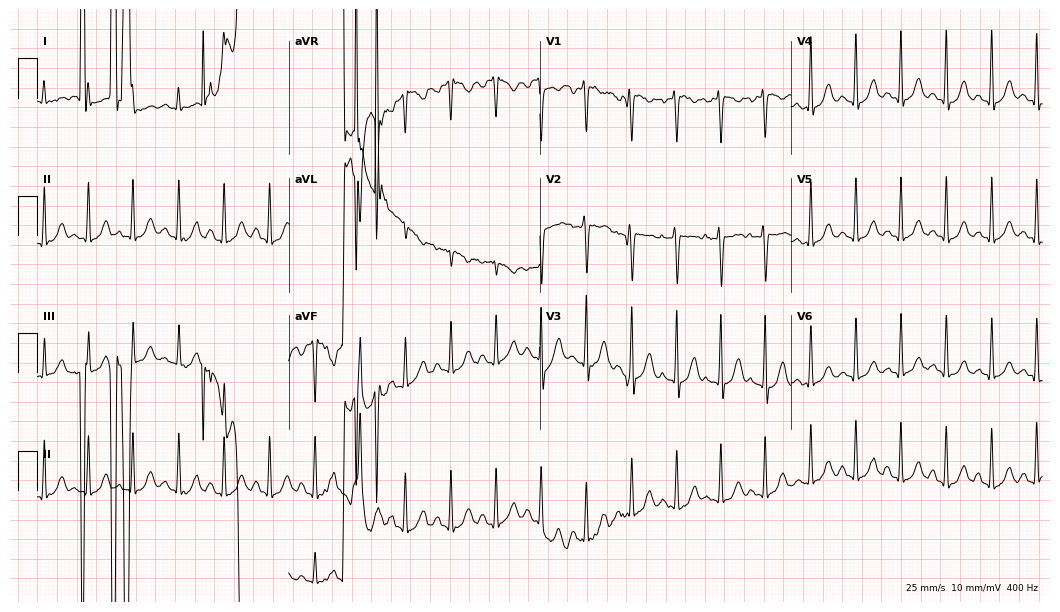
12-lead ECG from a 51-year-old female patient. No first-degree AV block, right bundle branch block, left bundle branch block, sinus bradycardia, atrial fibrillation or sinus tachycardia recorded for this tracing.